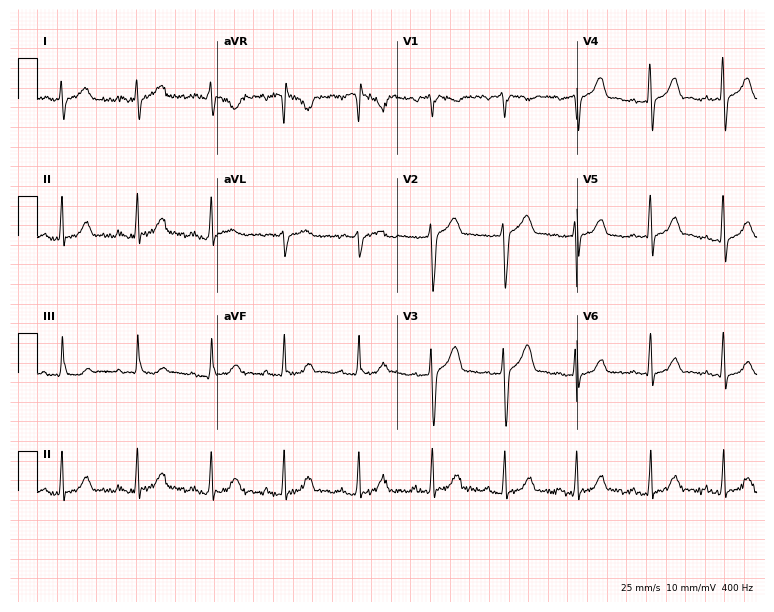
Electrocardiogram, a 53-year-old male patient. Overall reading on record: normal ECG.